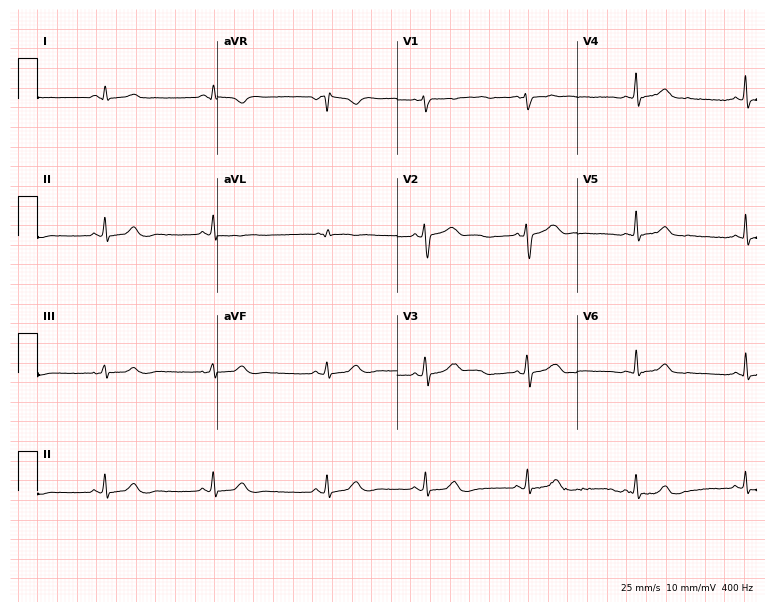
Electrocardiogram, a 32-year-old female. Of the six screened findings (first-degree AV block, right bundle branch block (RBBB), left bundle branch block (LBBB), sinus bradycardia, atrial fibrillation (AF), sinus tachycardia), none is recorded. Only these six findings were labelled.